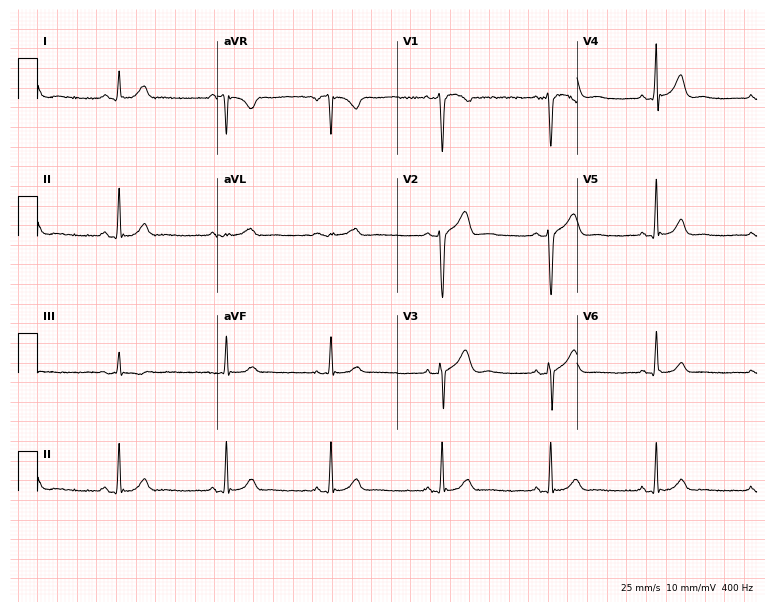
ECG (7.3-second recording at 400 Hz) — a man, 30 years old. Labelled as a normal ECG.